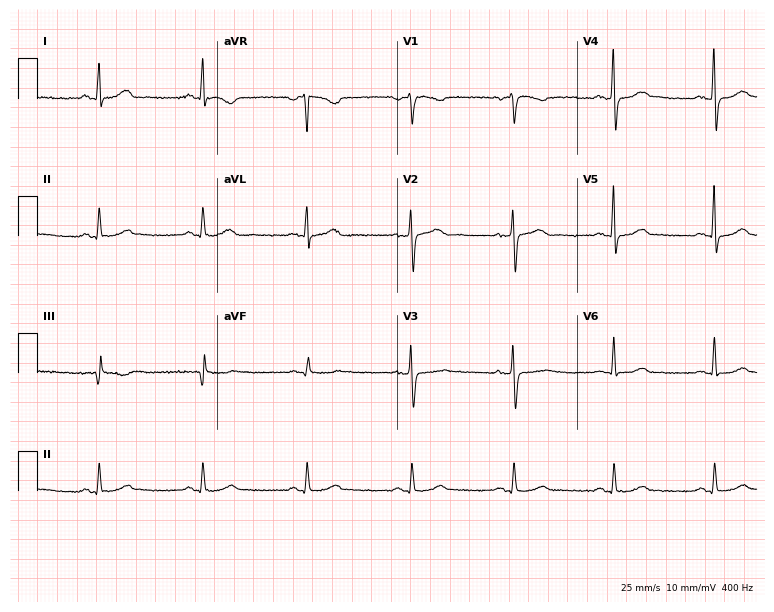
Resting 12-lead electrocardiogram. Patient: a 51-year-old female. Read as a normal ECG.